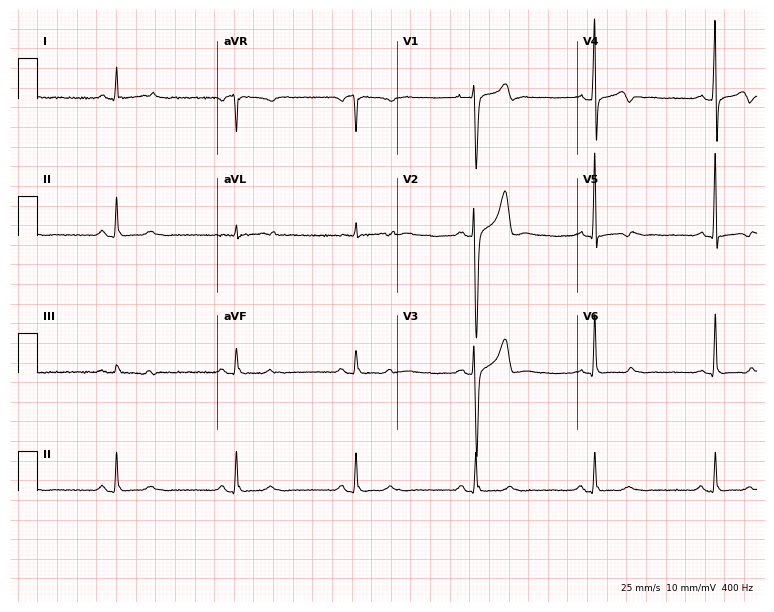
Resting 12-lead electrocardiogram. Patient: a male, 34 years old. The tracing shows sinus bradycardia (a sinus rate of 50 beats per minute or less).